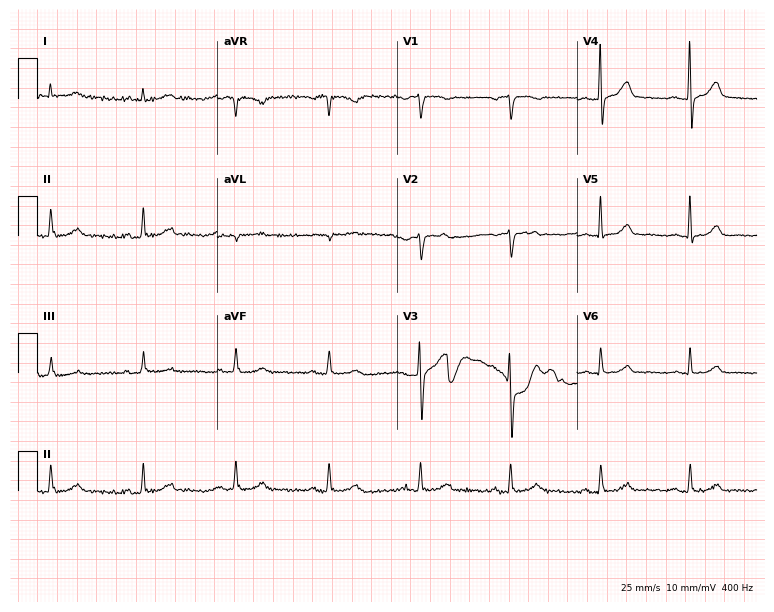
Electrocardiogram, a man, 57 years old. Overall reading on record: normal ECG.